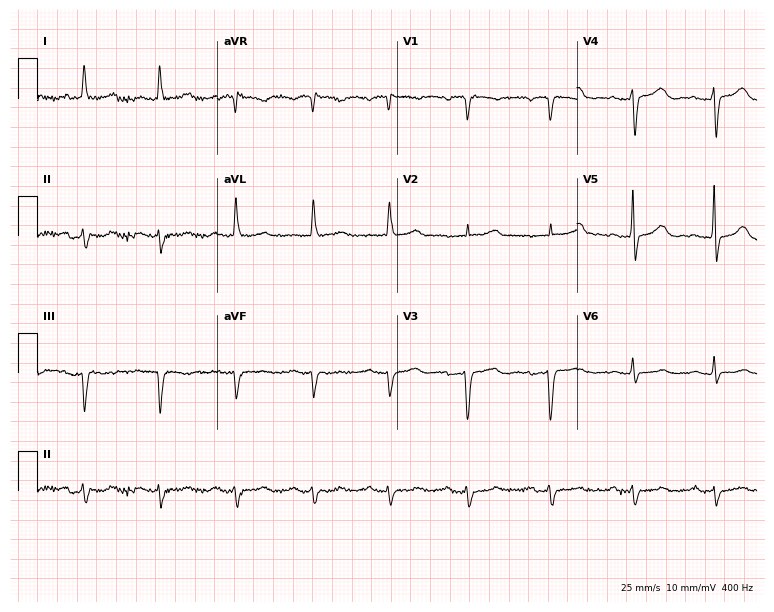
Standard 12-lead ECG recorded from an 82-year-old female patient (7.3-second recording at 400 Hz). None of these six findings is recorded: first-degree AV block, right bundle branch block, left bundle branch block, sinus bradycardia, atrial fibrillation, sinus tachycardia. Findings outside these six are not listed.